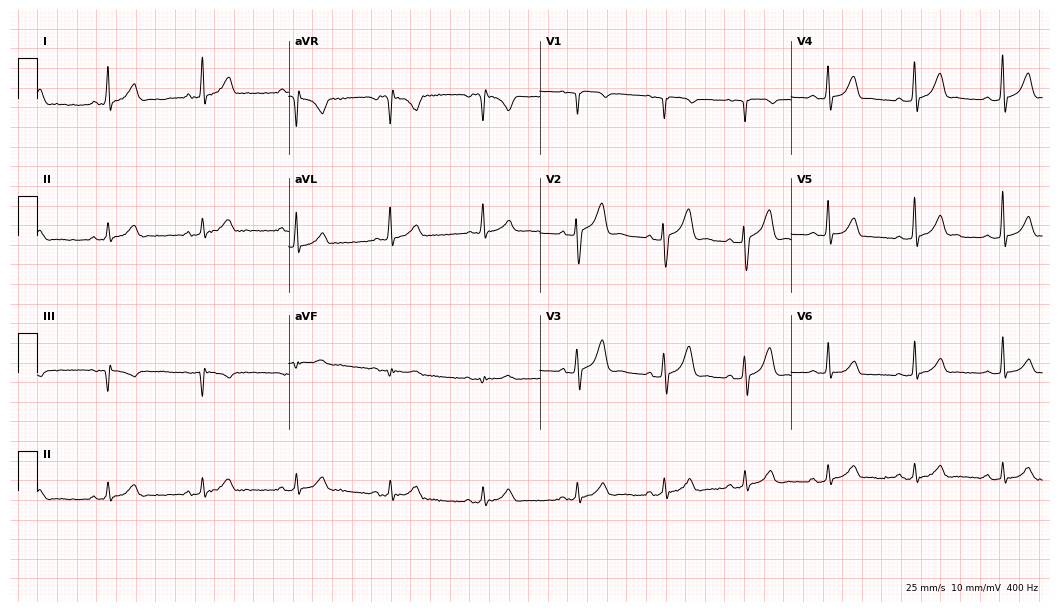
Resting 12-lead electrocardiogram (10.2-second recording at 400 Hz). Patient: a male, 46 years old. None of these six findings is recorded: first-degree AV block, right bundle branch block, left bundle branch block, sinus bradycardia, atrial fibrillation, sinus tachycardia.